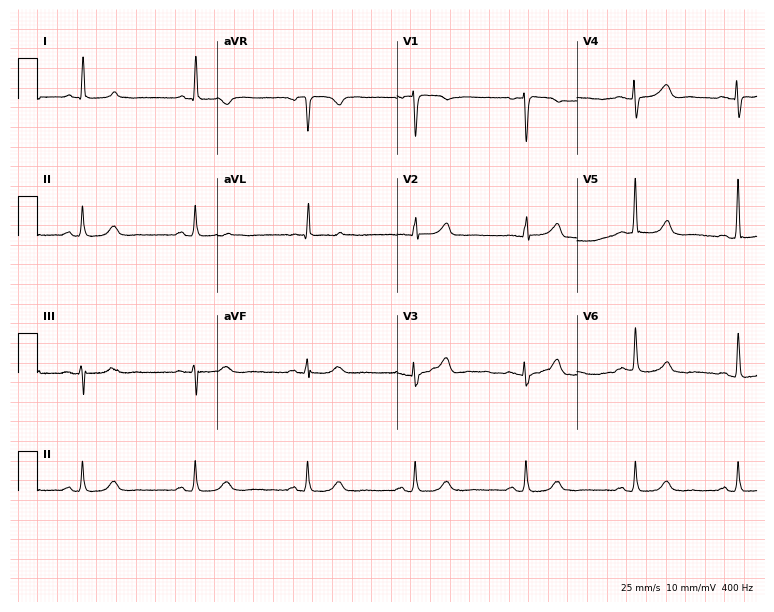
ECG (7.3-second recording at 400 Hz) — a 65-year-old female. Screened for six findings — first-degree AV block, right bundle branch block, left bundle branch block, sinus bradycardia, atrial fibrillation, sinus tachycardia — none is recorded. Findings outside these six are not listed.